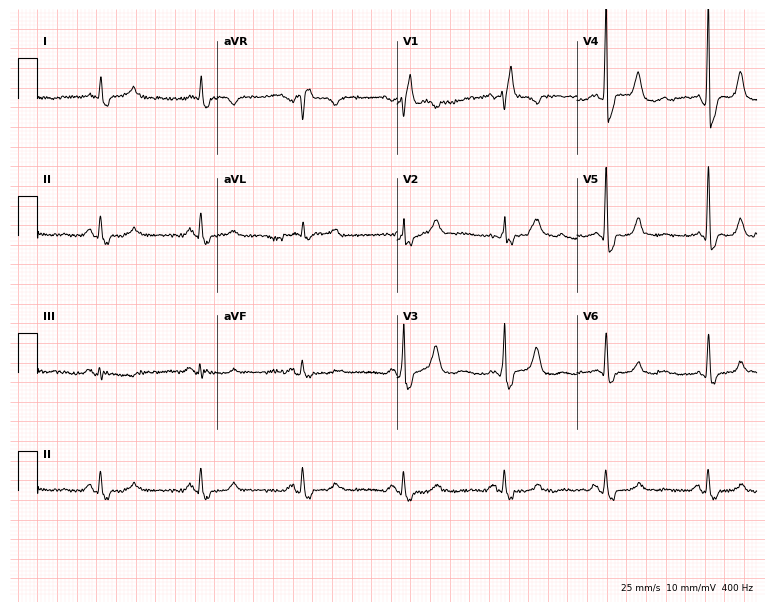
Electrocardiogram, an 80-year-old male. Interpretation includes right bundle branch block.